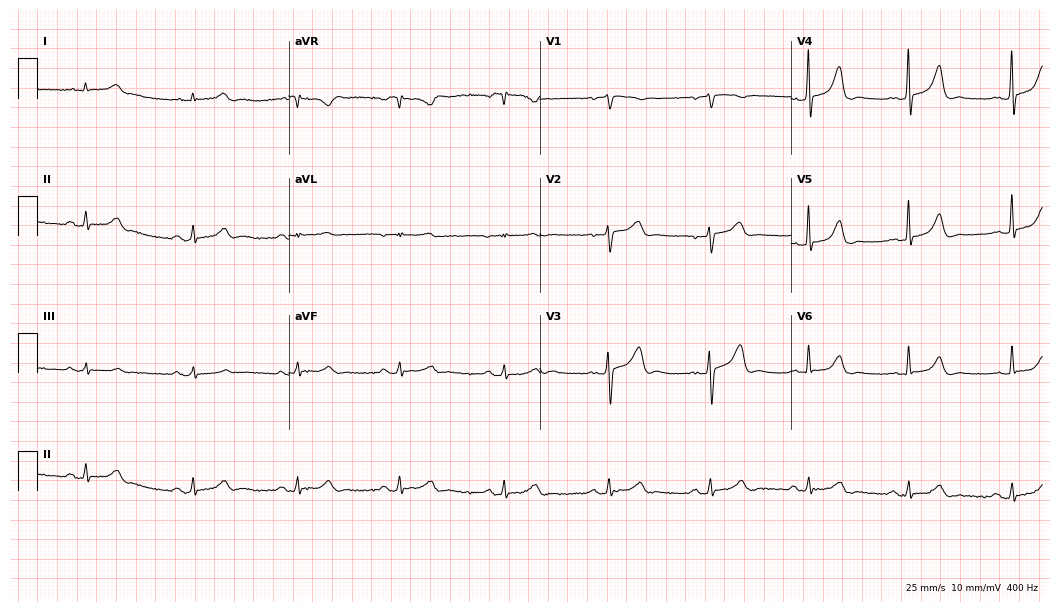
Resting 12-lead electrocardiogram. Patient: a 73-year-old man. None of these six findings is recorded: first-degree AV block, right bundle branch block (RBBB), left bundle branch block (LBBB), sinus bradycardia, atrial fibrillation (AF), sinus tachycardia. Only these six findings were labelled.